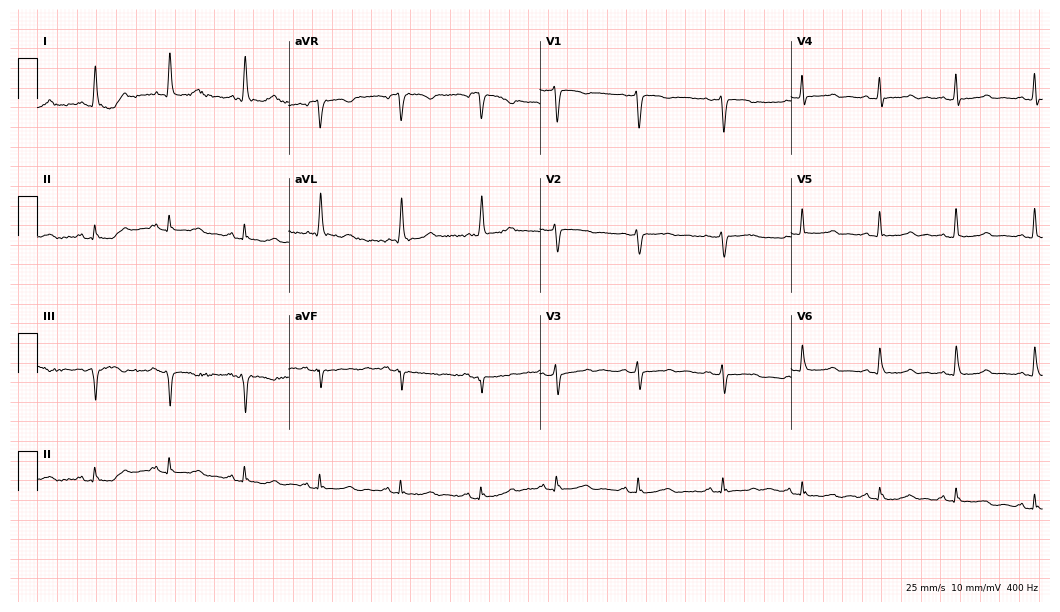
Standard 12-lead ECG recorded from a female patient, 67 years old (10.2-second recording at 400 Hz). None of these six findings is recorded: first-degree AV block, right bundle branch block, left bundle branch block, sinus bradycardia, atrial fibrillation, sinus tachycardia. Findings outside these six are not listed.